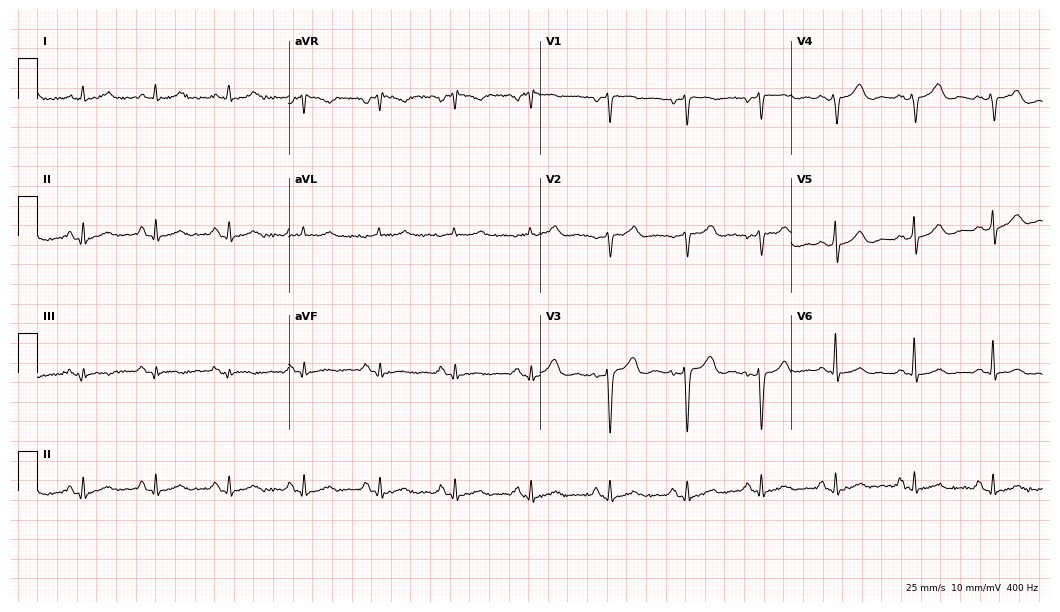
12-lead ECG (10.2-second recording at 400 Hz) from a woman, 59 years old. Screened for six findings — first-degree AV block, right bundle branch block, left bundle branch block, sinus bradycardia, atrial fibrillation, sinus tachycardia — none is recorded.